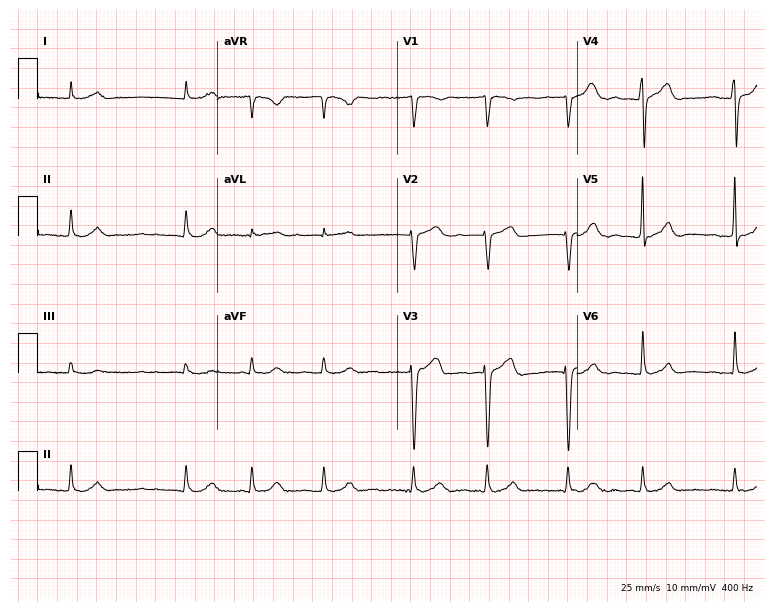
12-lead ECG from a 73-year-old male patient. Screened for six findings — first-degree AV block, right bundle branch block, left bundle branch block, sinus bradycardia, atrial fibrillation, sinus tachycardia — none is recorded.